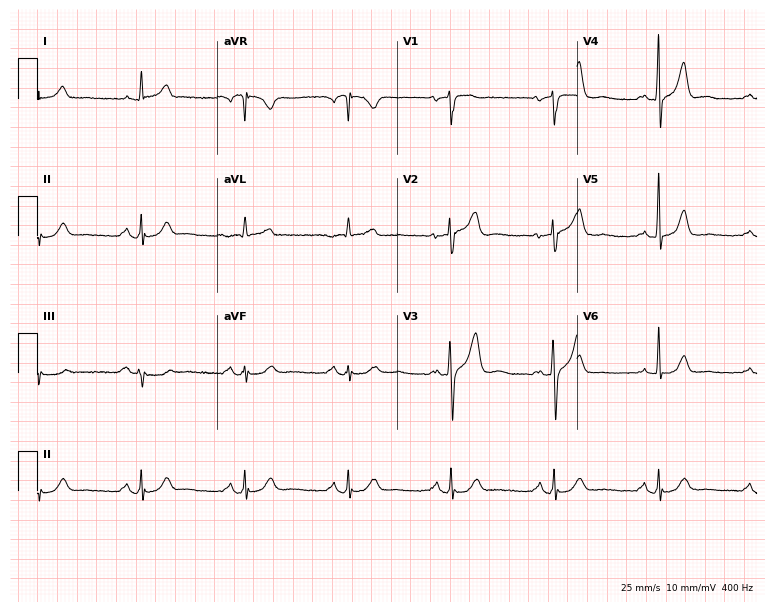
ECG — a 77-year-old male patient. Labelled as a normal ECG.